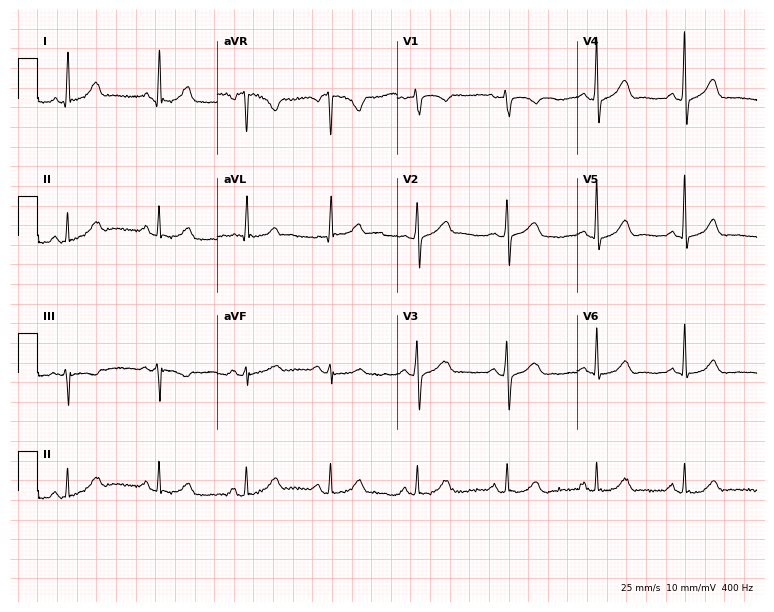
Standard 12-lead ECG recorded from a 70-year-old female patient. Read as a normal ECG.